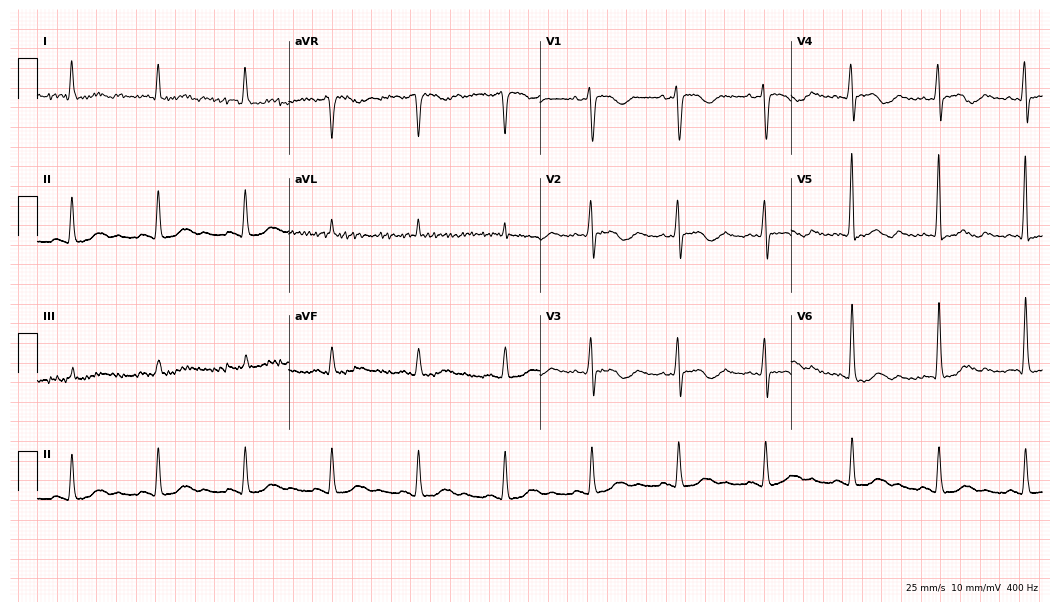
12-lead ECG (10.2-second recording at 400 Hz) from a woman, 76 years old. Screened for six findings — first-degree AV block, right bundle branch block, left bundle branch block, sinus bradycardia, atrial fibrillation, sinus tachycardia — none is recorded.